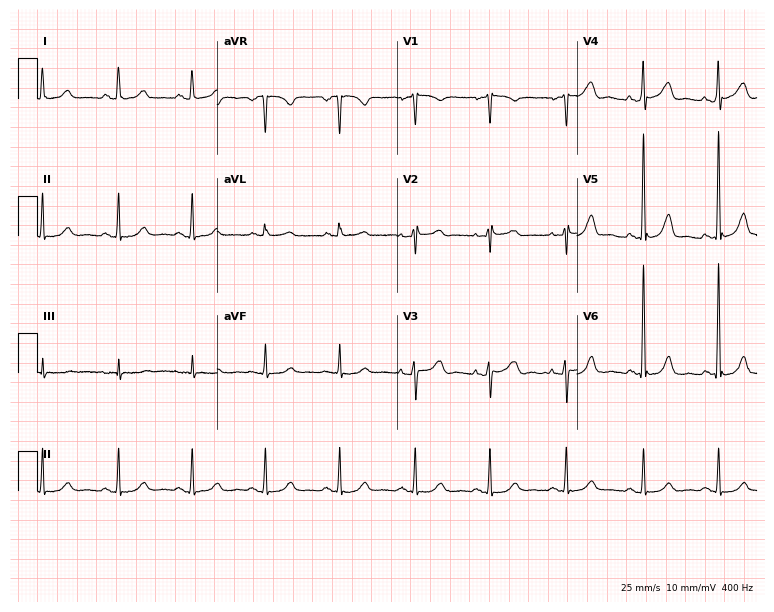
Standard 12-lead ECG recorded from a female, 69 years old (7.3-second recording at 400 Hz). None of these six findings is recorded: first-degree AV block, right bundle branch block (RBBB), left bundle branch block (LBBB), sinus bradycardia, atrial fibrillation (AF), sinus tachycardia. Findings outside these six are not listed.